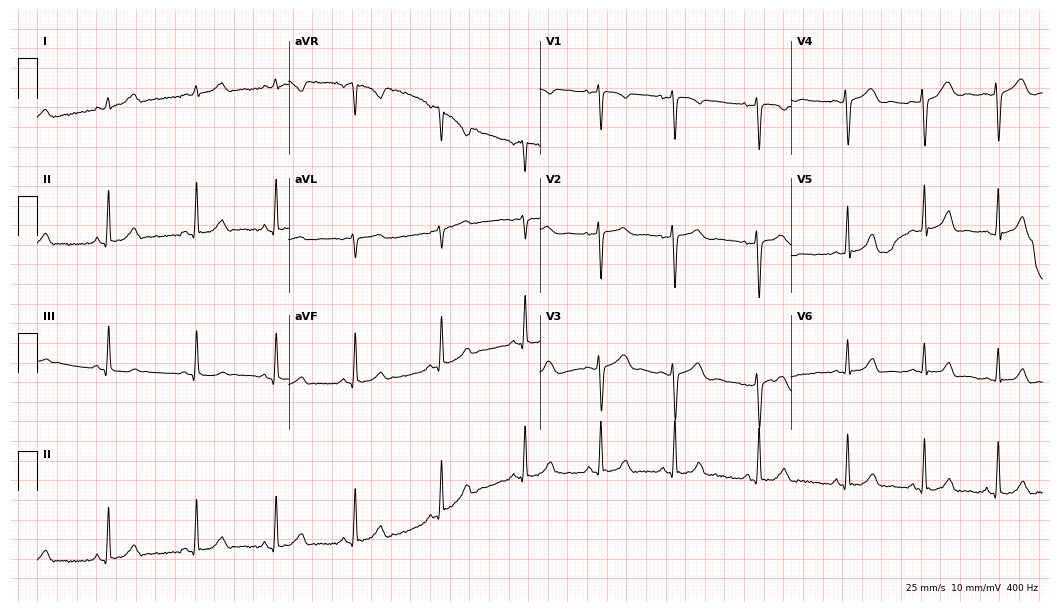
ECG — a woman, 19 years old. Labelled as a normal ECG.